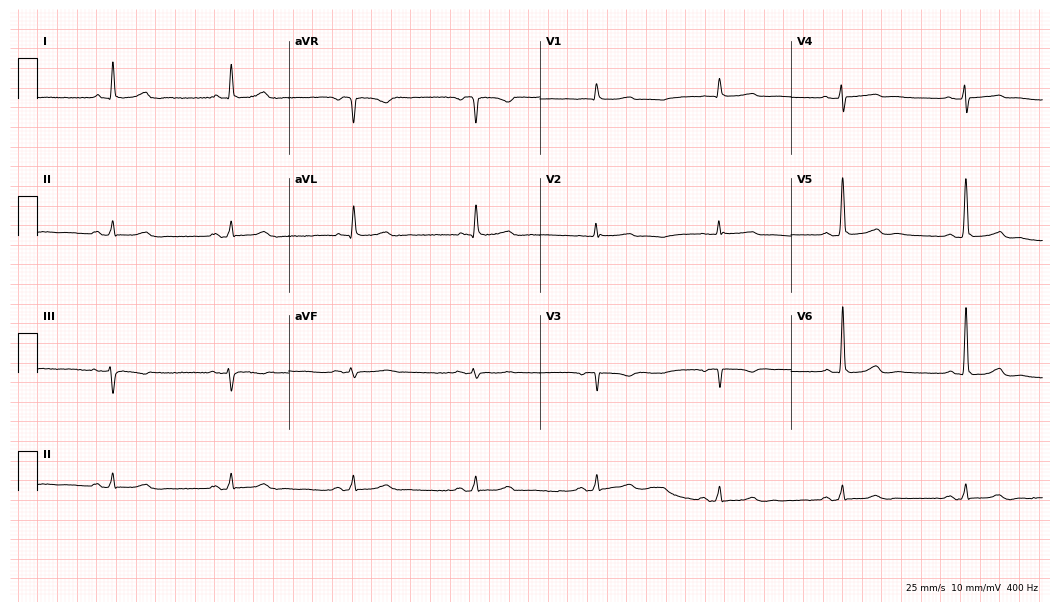
12-lead ECG from a 77-year-old female patient. Findings include sinus bradycardia (a sinus rate of 50 beats per minute or less).